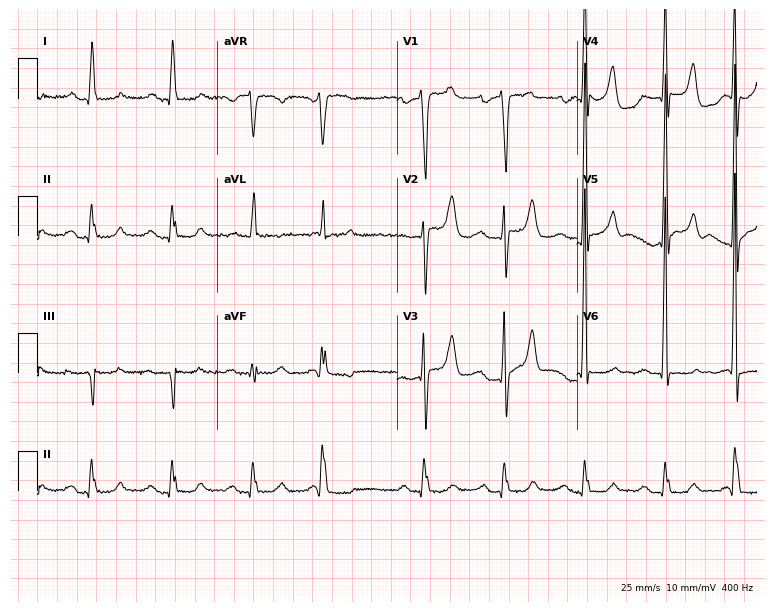
ECG (7.3-second recording at 400 Hz) — a 29-year-old man. Findings include first-degree AV block.